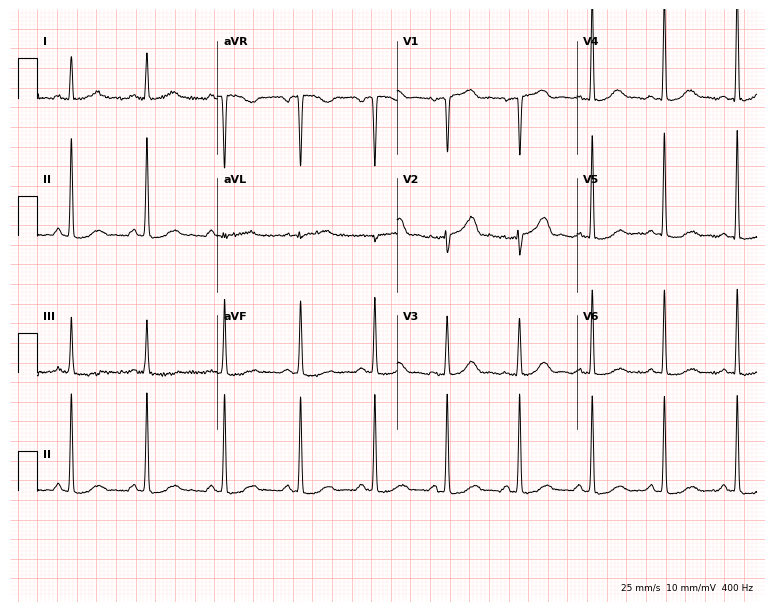
Resting 12-lead electrocardiogram. Patient: a female, 42 years old. Read as a normal ECG.